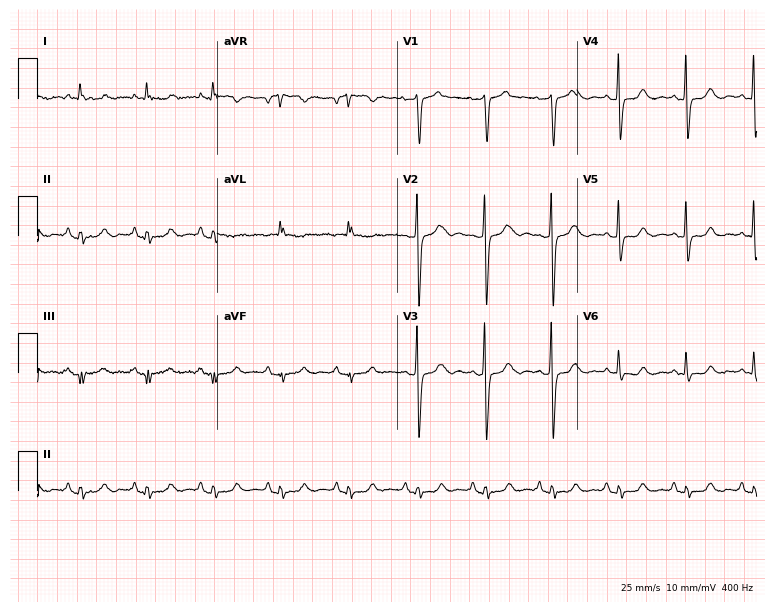
12-lead ECG from a 75-year-old female. No first-degree AV block, right bundle branch block (RBBB), left bundle branch block (LBBB), sinus bradycardia, atrial fibrillation (AF) or sinus tachycardia recorded for this tracing. Findings outside these six are not listed.